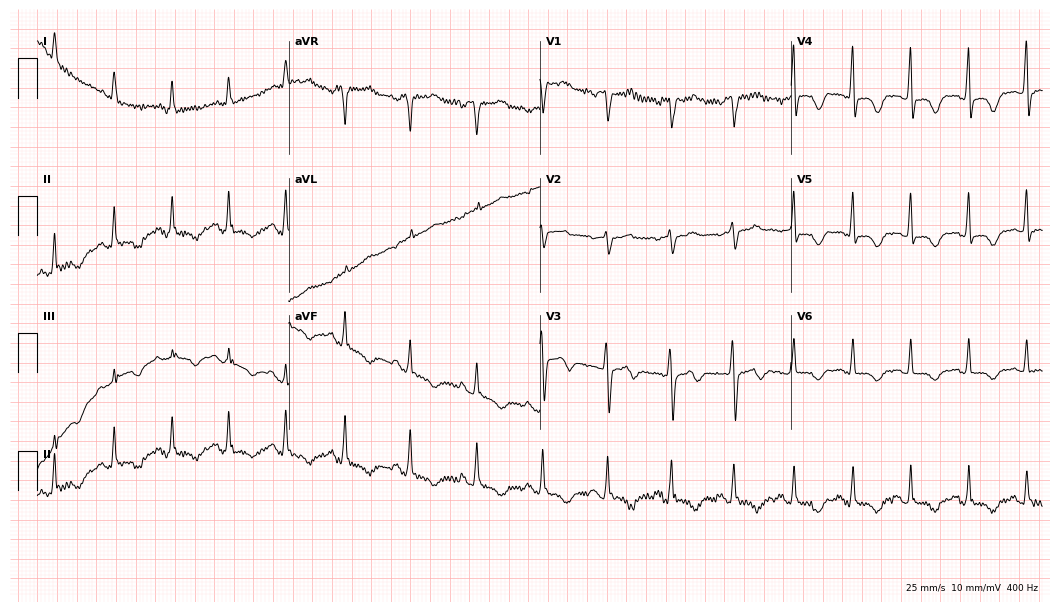
Standard 12-lead ECG recorded from a woman, 39 years old. None of these six findings is recorded: first-degree AV block, right bundle branch block, left bundle branch block, sinus bradycardia, atrial fibrillation, sinus tachycardia. Findings outside these six are not listed.